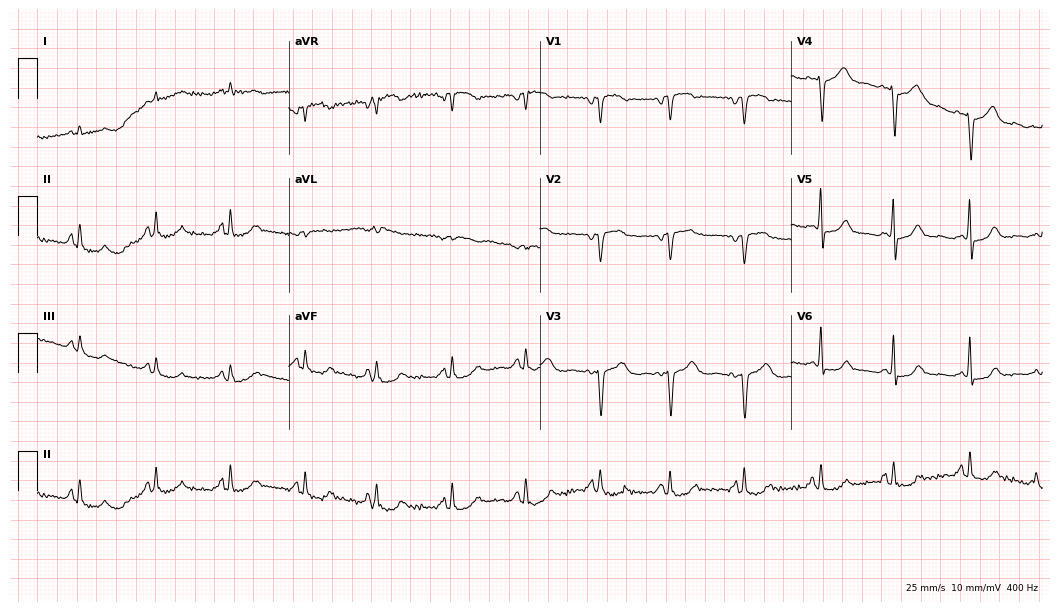
Resting 12-lead electrocardiogram (10.2-second recording at 400 Hz). Patient: a female, 78 years old. None of these six findings is recorded: first-degree AV block, right bundle branch block (RBBB), left bundle branch block (LBBB), sinus bradycardia, atrial fibrillation (AF), sinus tachycardia.